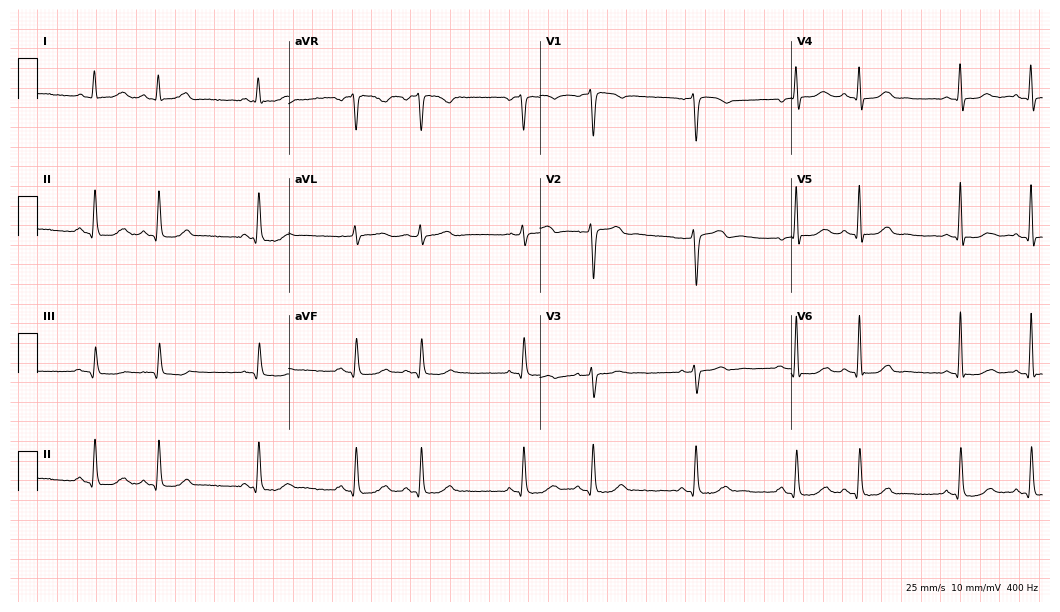
12-lead ECG from a 52-year-old female. No first-degree AV block, right bundle branch block, left bundle branch block, sinus bradycardia, atrial fibrillation or sinus tachycardia recorded for this tracing. Other findings, if any, are not listed.